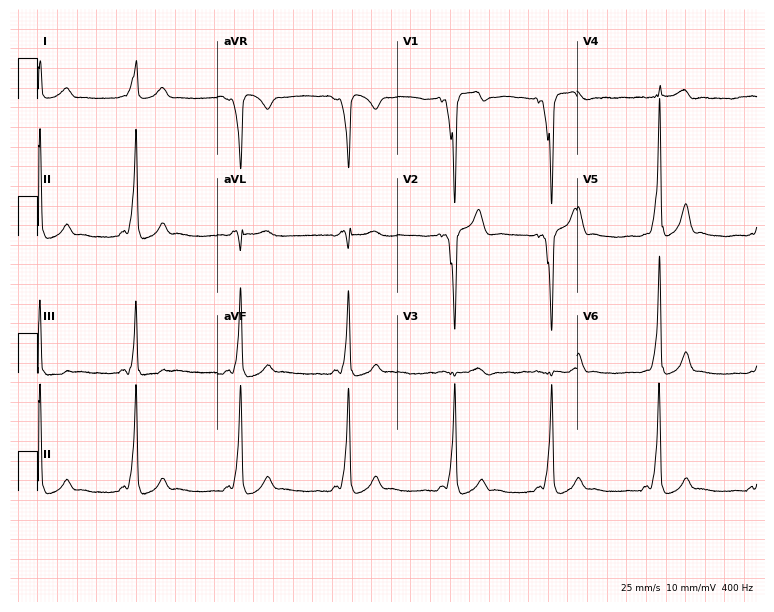
Standard 12-lead ECG recorded from a female, 30 years old. None of these six findings is recorded: first-degree AV block, right bundle branch block (RBBB), left bundle branch block (LBBB), sinus bradycardia, atrial fibrillation (AF), sinus tachycardia.